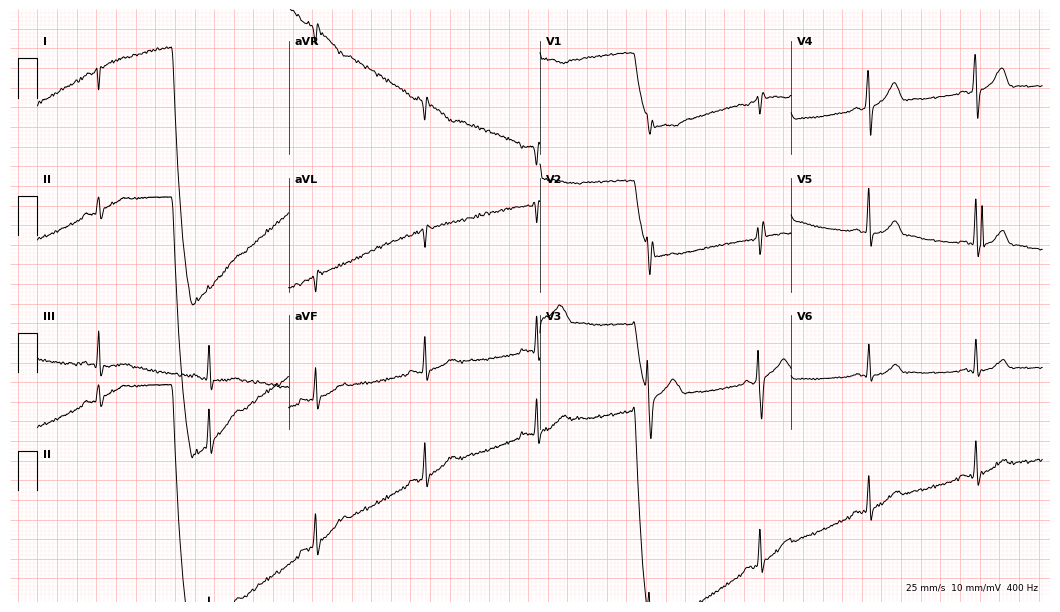
12-lead ECG (10.2-second recording at 400 Hz) from a 36-year-old male. Screened for six findings — first-degree AV block, right bundle branch block, left bundle branch block, sinus bradycardia, atrial fibrillation, sinus tachycardia — none is recorded. Only these six findings were labelled.